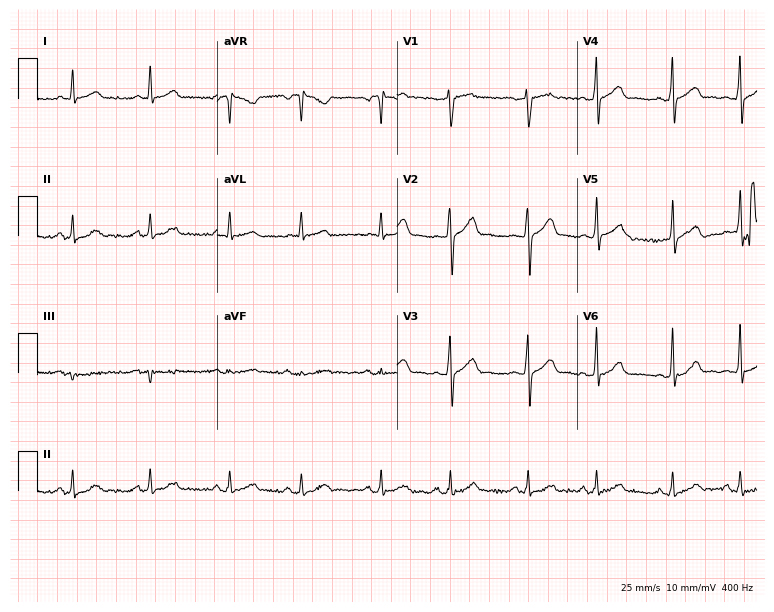
12-lead ECG from a male, 43 years old. Recorded interpretation: within normal limits.